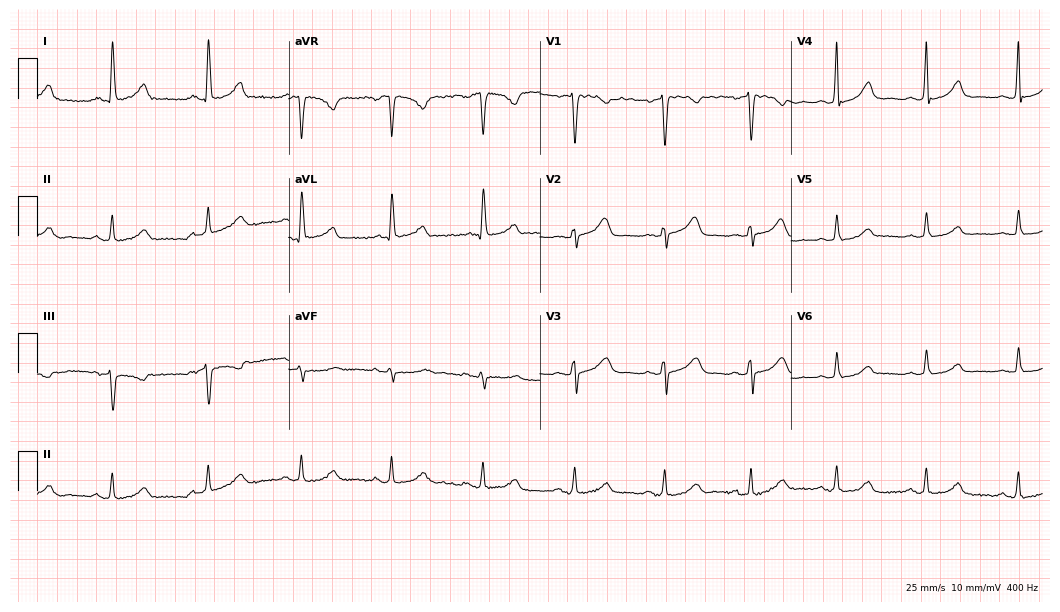
Electrocardiogram (10.2-second recording at 400 Hz), a female, 47 years old. Of the six screened findings (first-degree AV block, right bundle branch block, left bundle branch block, sinus bradycardia, atrial fibrillation, sinus tachycardia), none is recorded. Findings outside these six are not listed.